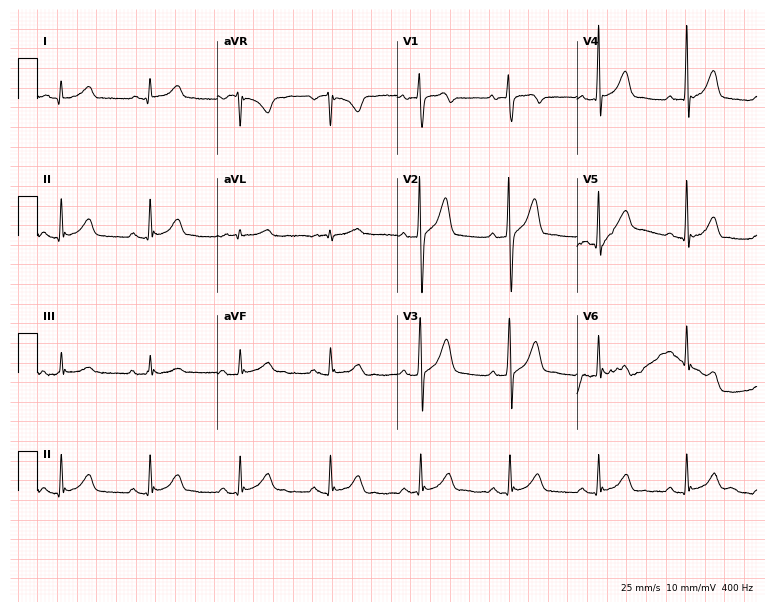
ECG (7.3-second recording at 400 Hz) — a man, 68 years old. Labelled as a normal ECG.